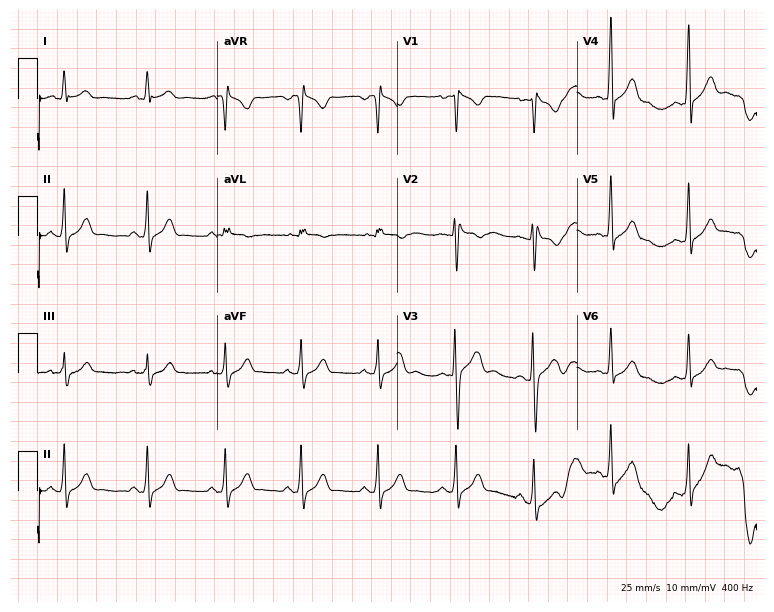
ECG — a 23-year-old woman. Screened for six findings — first-degree AV block, right bundle branch block (RBBB), left bundle branch block (LBBB), sinus bradycardia, atrial fibrillation (AF), sinus tachycardia — none is recorded.